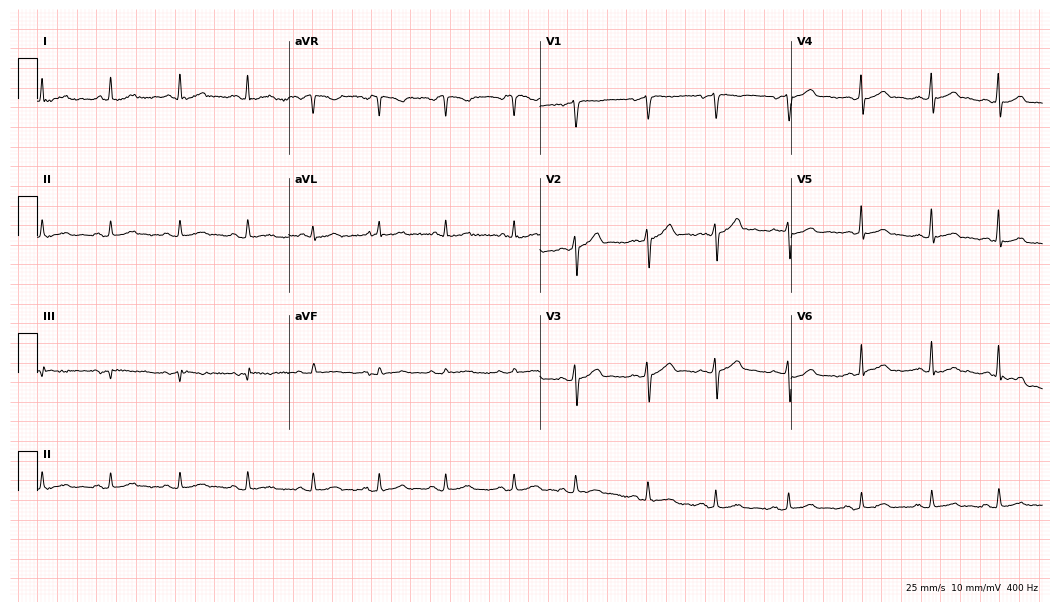
12-lead ECG (10.2-second recording at 400 Hz) from a male, 51 years old. Screened for six findings — first-degree AV block, right bundle branch block, left bundle branch block, sinus bradycardia, atrial fibrillation, sinus tachycardia — none is recorded.